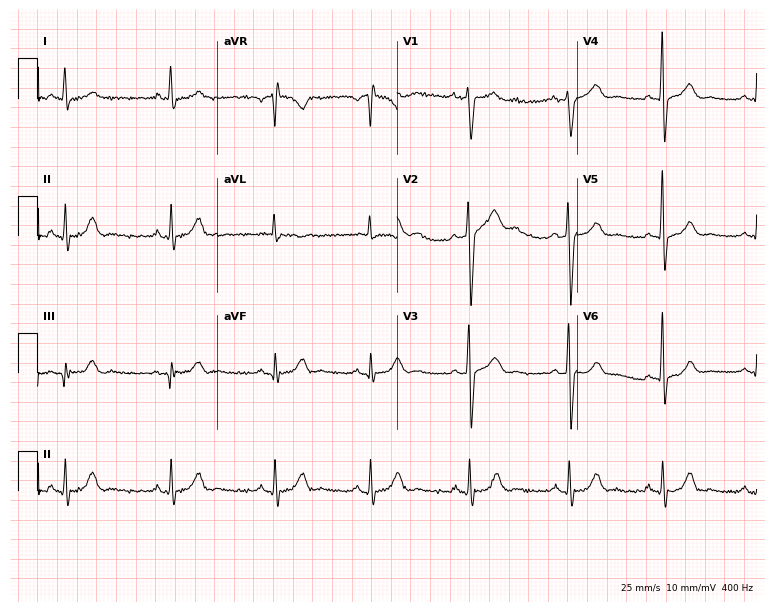
12-lead ECG from a 47-year-old male. Screened for six findings — first-degree AV block, right bundle branch block, left bundle branch block, sinus bradycardia, atrial fibrillation, sinus tachycardia — none is recorded.